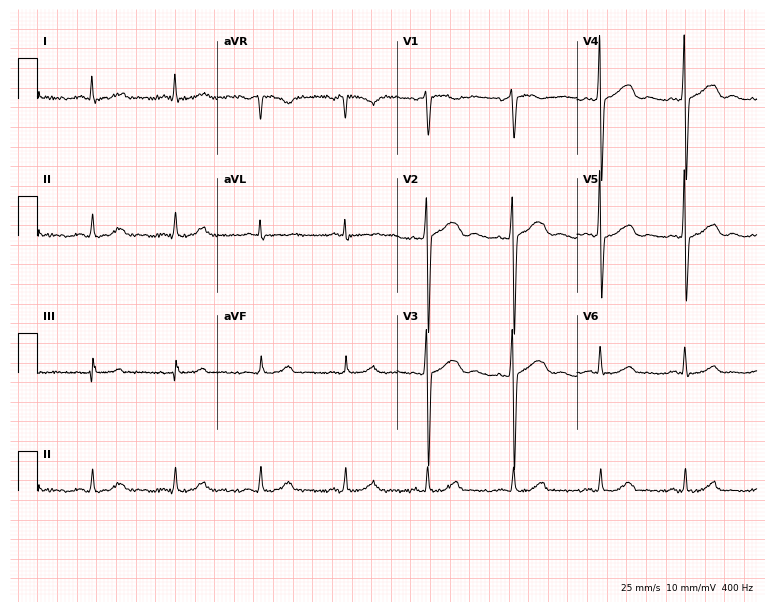
Electrocardiogram (7.3-second recording at 400 Hz), a female patient, 59 years old. Overall reading on record: normal ECG.